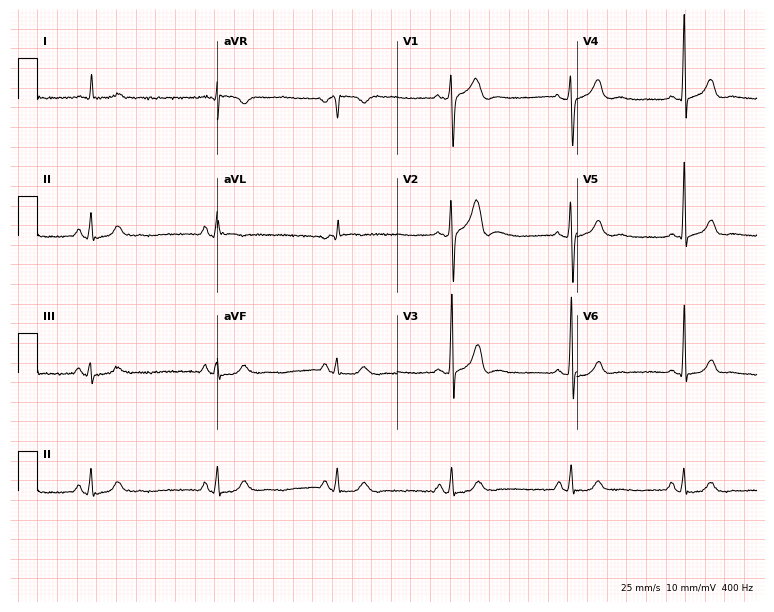
12-lead ECG from a 56-year-old male. No first-degree AV block, right bundle branch block, left bundle branch block, sinus bradycardia, atrial fibrillation or sinus tachycardia recorded for this tracing.